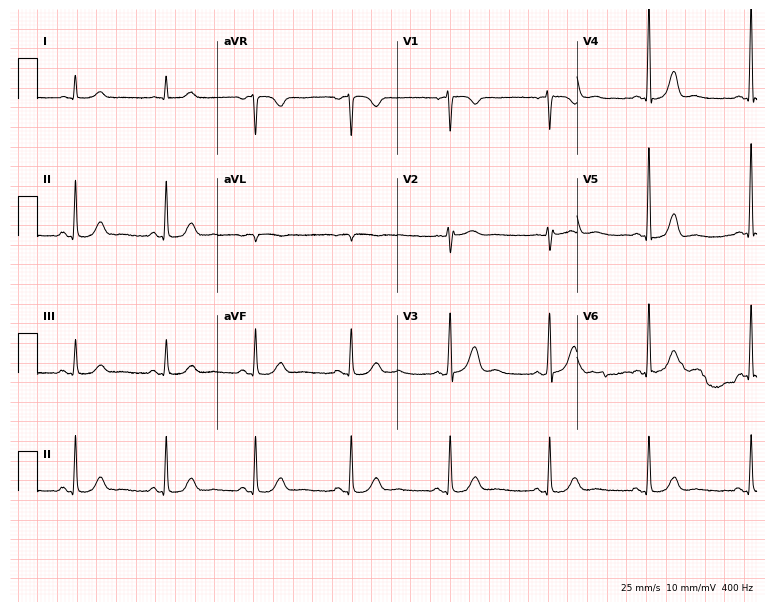
Resting 12-lead electrocardiogram (7.3-second recording at 400 Hz). Patient: a 54-year-old female. Read as a normal ECG.